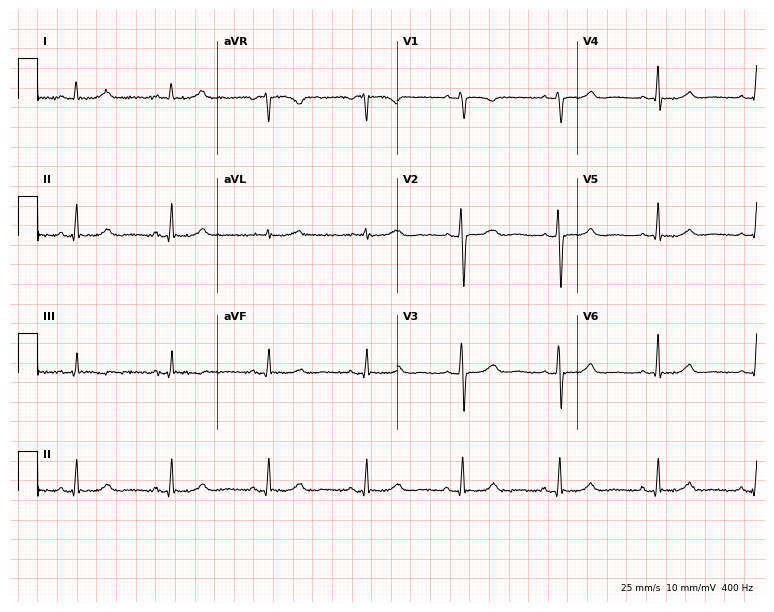
12-lead ECG from a female, 69 years old. No first-degree AV block, right bundle branch block, left bundle branch block, sinus bradycardia, atrial fibrillation or sinus tachycardia recorded for this tracing. Findings outside these six are not listed.